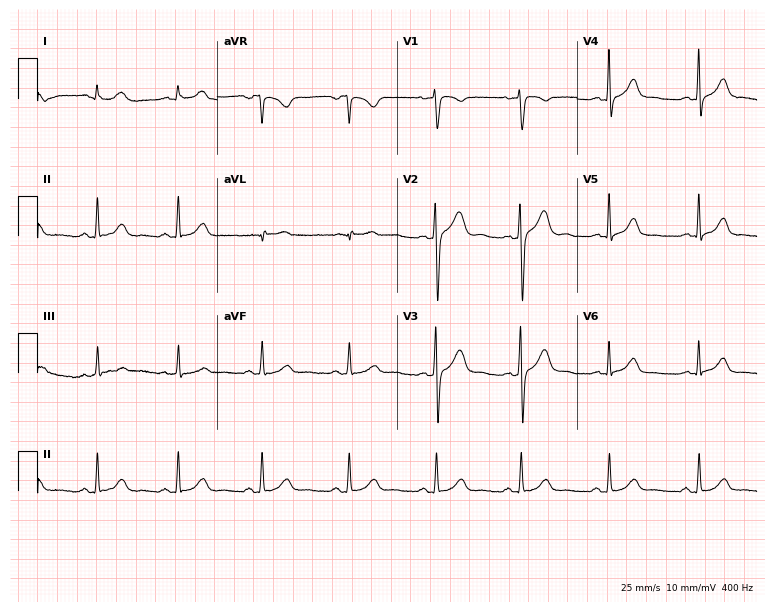
Standard 12-lead ECG recorded from a 33-year-old female. Read as a normal ECG.